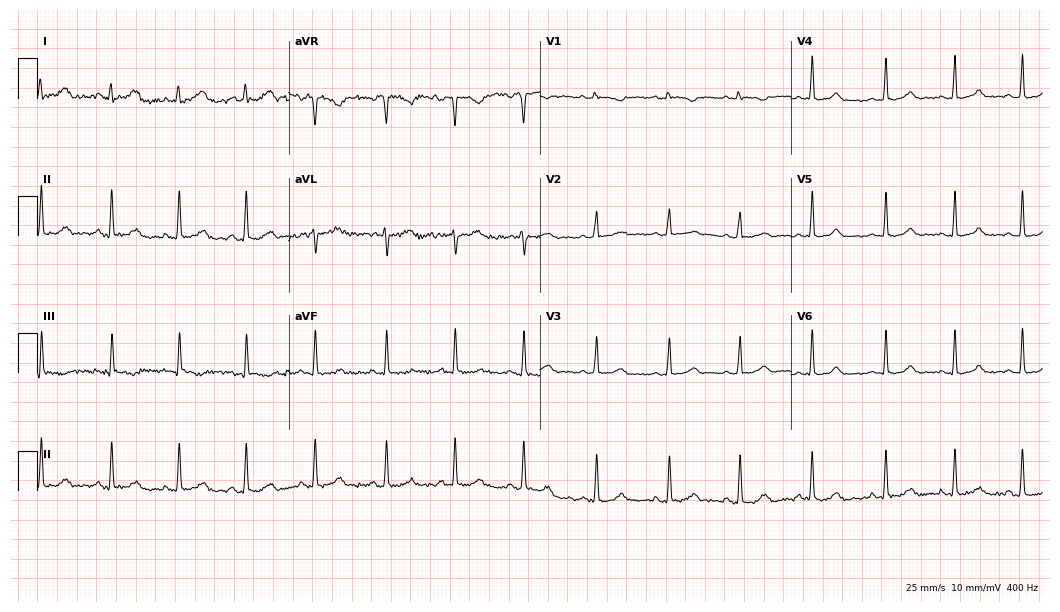
ECG — a female, 23 years old. Screened for six findings — first-degree AV block, right bundle branch block, left bundle branch block, sinus bradycardia, atrial fibrillation, sinus tachycardia — none is recorded. Only these six findings were labelled.